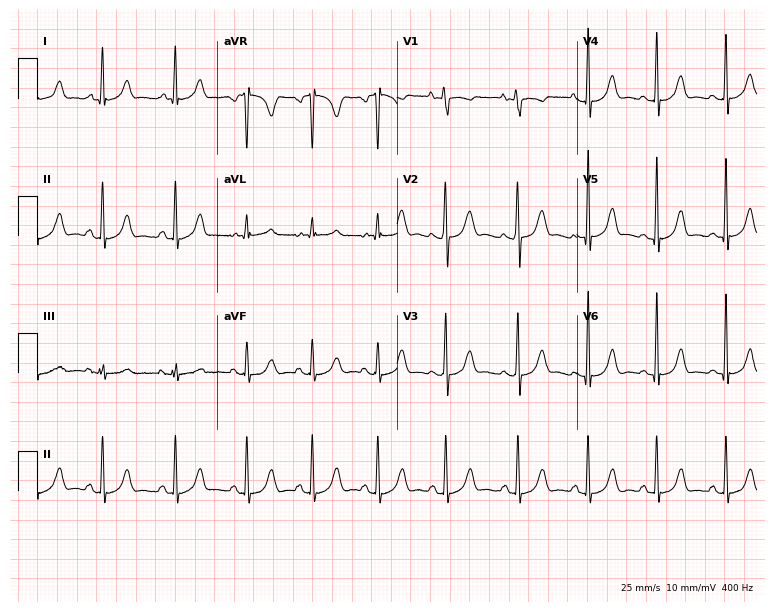
12-lead ECG from a woman, 17 years old. Labelled as a normal ECG.